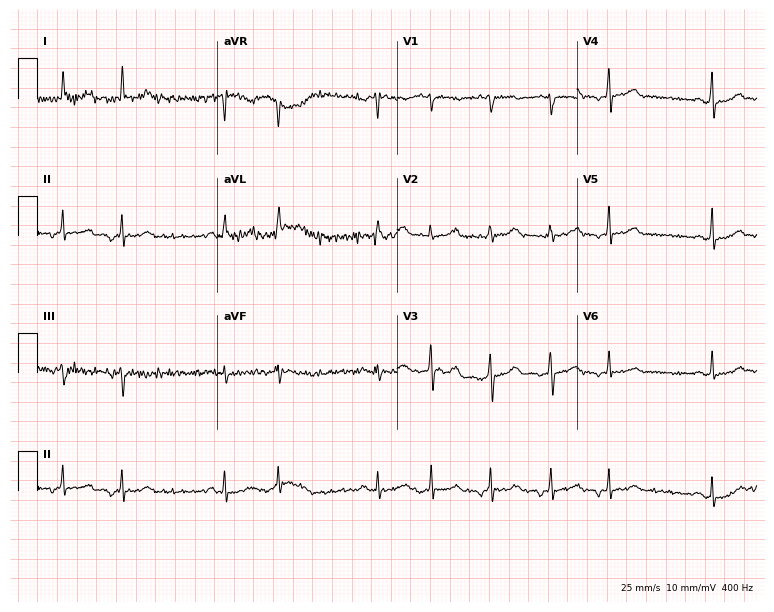
12-lead ECG from a female, 35 years old (7.3-second recording at 400 Hz). No first-degree AV block, right bundle branch block (RBBB), left bundle branch block (LBBB), sinus bradycardia, atrial fibrillation (AF) or sinus tachycardia recorded for this tracing.